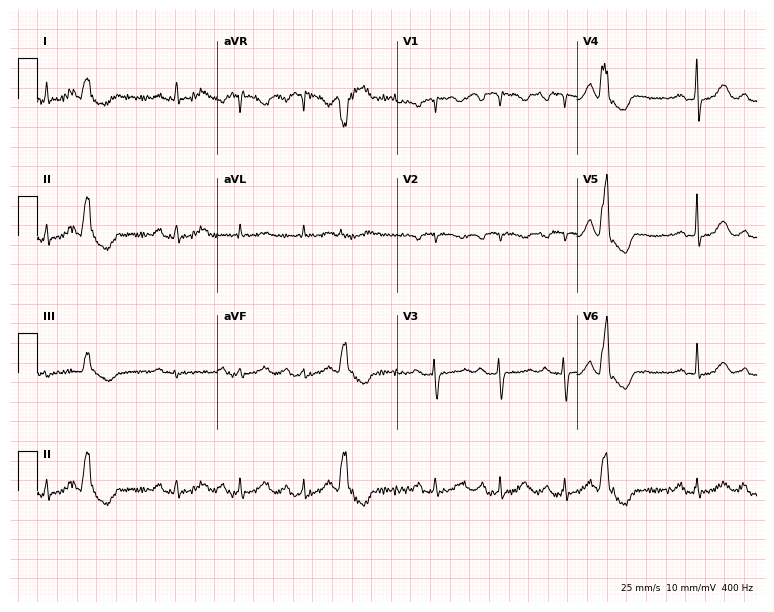
12-lead ECG from a female patient, 81 years old. Screened for six findings — first-degree AV block, right bundle branch block (RBBB), left bundle branch block (LBBB), sinus bradycardia, atrial fibrillation (AF), sinus tachycardia — none is recorded. Other findings, if any, are not listed.